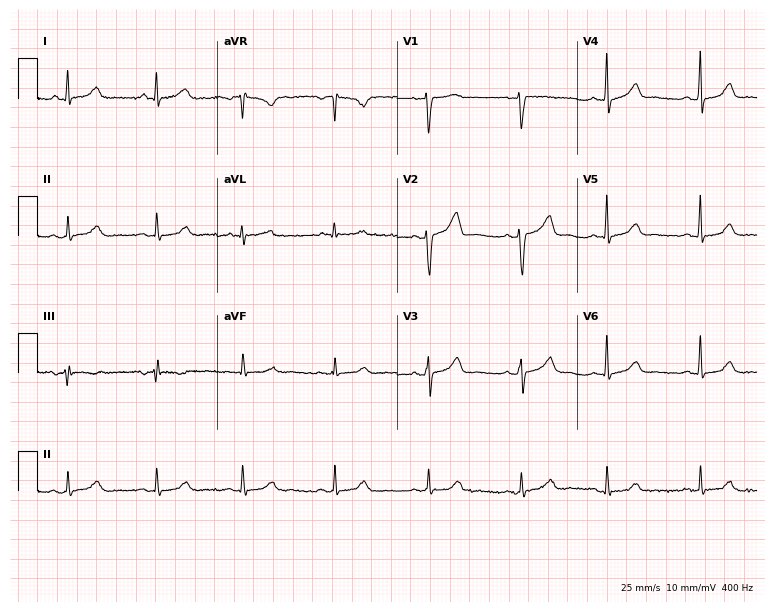
Resting 12-lead electrocardiogram (7.3-second recording at 400 Hz). Patient: a woman, 46 years old. Read as a normal ECG.